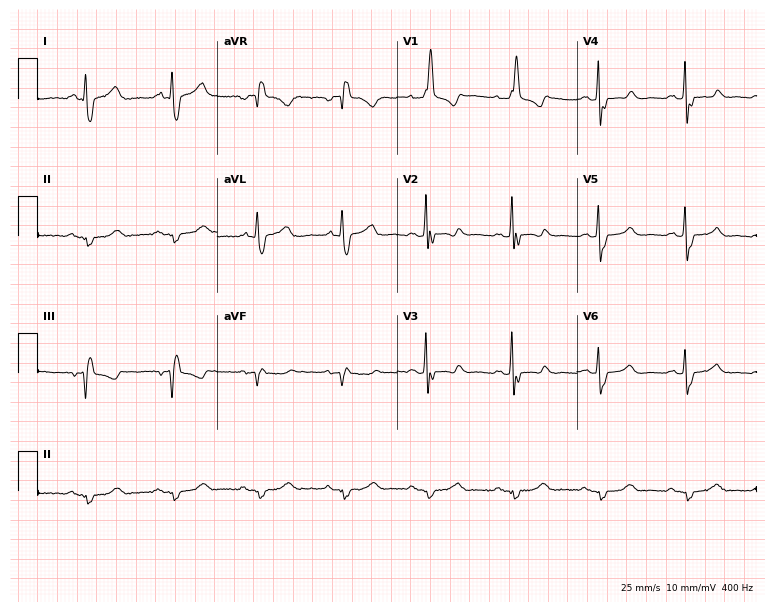
Resting 12-lead electrocardiogram. Patient: a 66-year-old female. The tracing shows right bundle branch block.